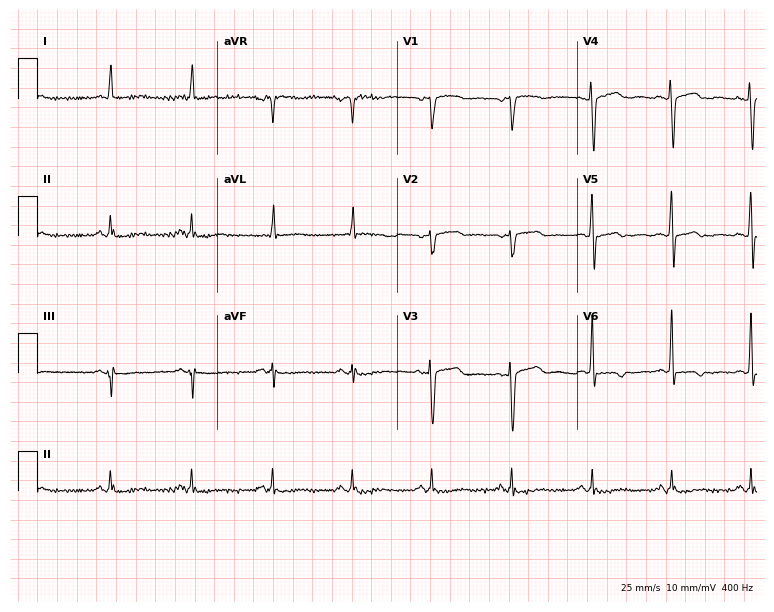
ECG — a female, 55 years old. Screened for six findings — first-degree AV block, right bundle branch block, left bundle branch block, sinus bradycardia, atrial fibrillation, sinus tachycardia — none is recorded.